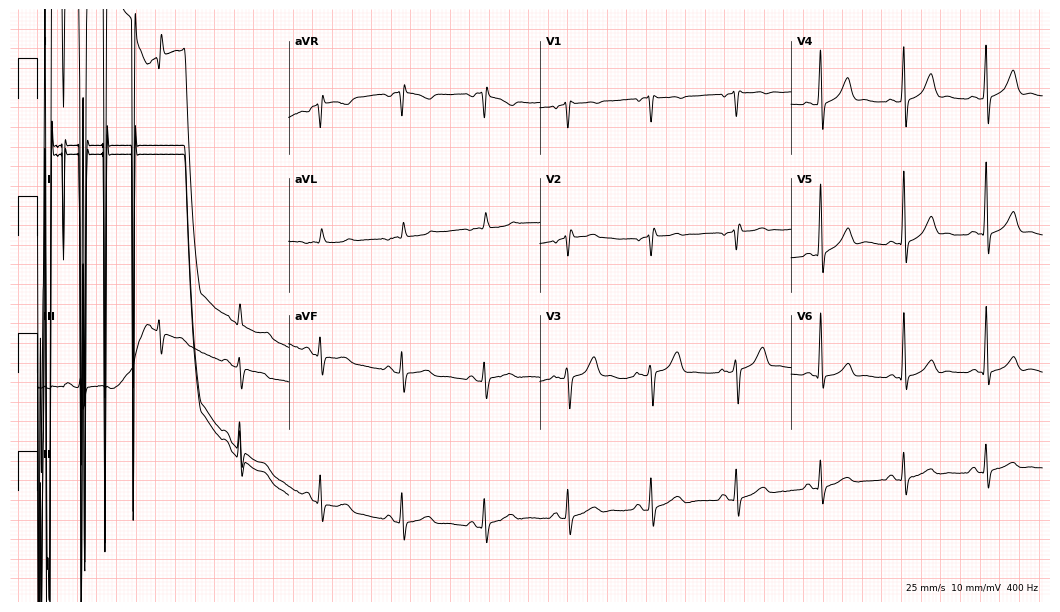
Standard 12-lead ECG recorded from a 60-year-old male (10.2-second recording at 400 Hz). None of these six findings is recorded: first-degree AV block, right bundle branch block, left bundle branch block, sinus bradycardia, atrial fibrillation, sinus tachycardia.